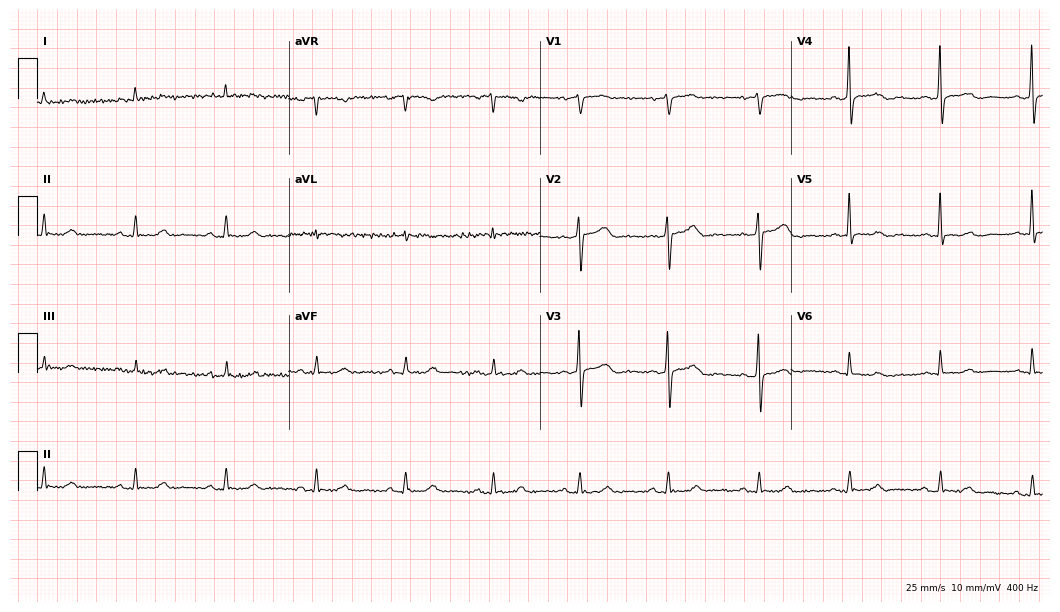
12-lead ECG from a 76-year-old man. Screened for six findings — first-degree AV block, right bundle branch block, left bundle branch block, sinus bradycardia, atrial fibrillation, sinus tachycardia — none is recorded.